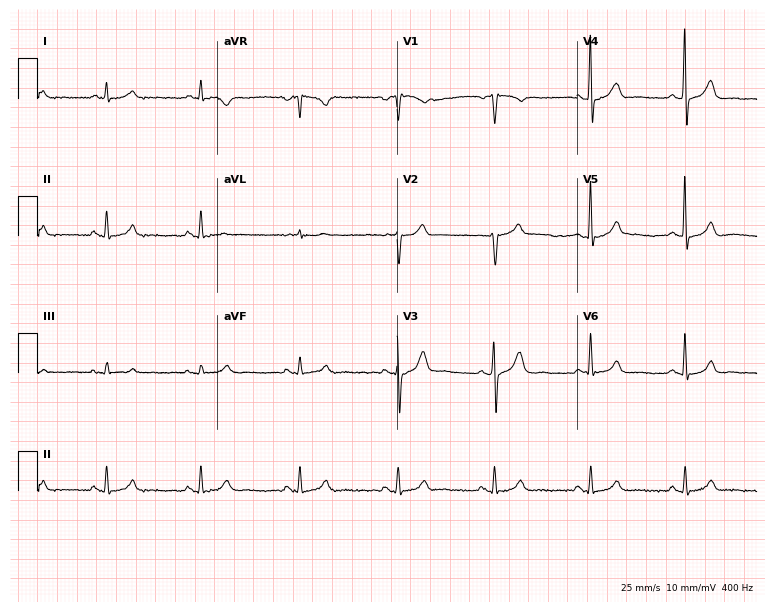
Resting 12-lead electrocardiogram. Patient: a 63-year-old female. Read as a normal ECG.